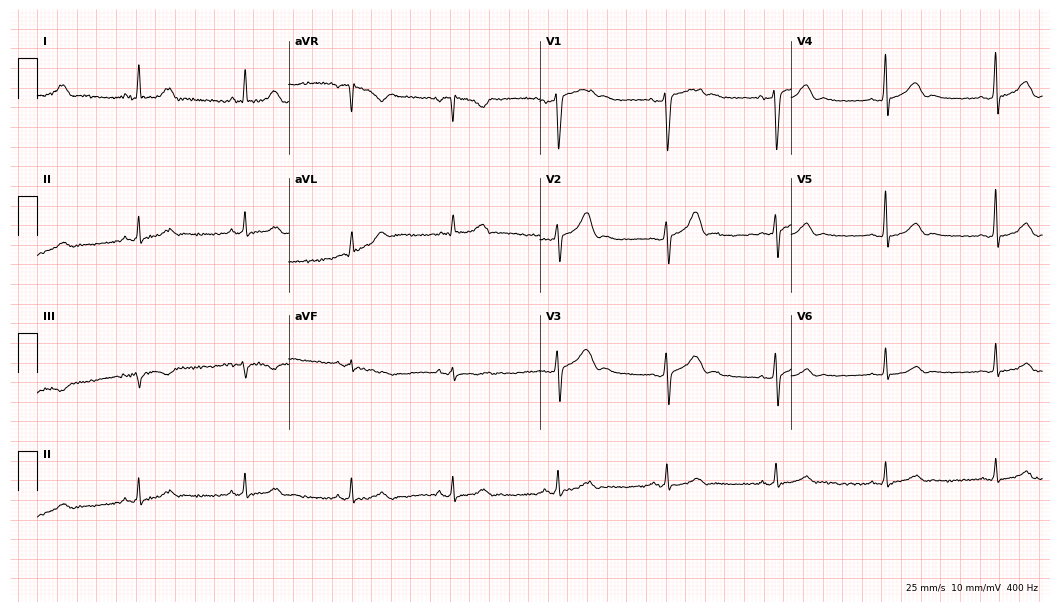
Resting 12-lead electrocardiogram (10.2-second recording at 400 Hz). Patient: a 63-year-old man. None of these six findings is recorded: first-degree AV block, right bundle branch block, left bundle branch block, sinus bradycardia, atrial fibrillation, sinus tachycardia.